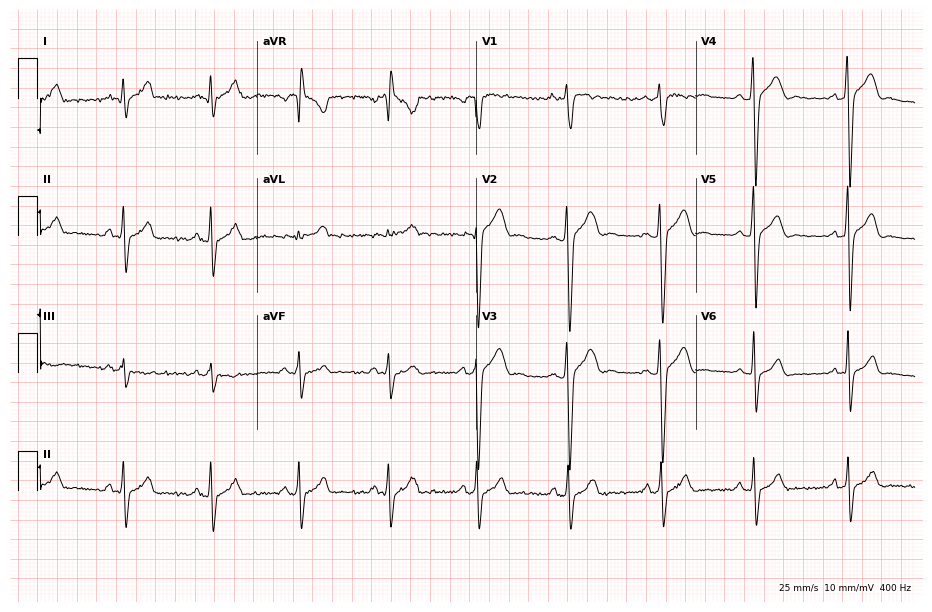
ECG — a male patient, 23 years old. Screened for six findings — first-degree AV block, right bundle branch block (RBBB), left bundle branch block (LBBB), sinus bradycardia, atrial fibrillation (AF), sinus tachycardia — none is recorded.